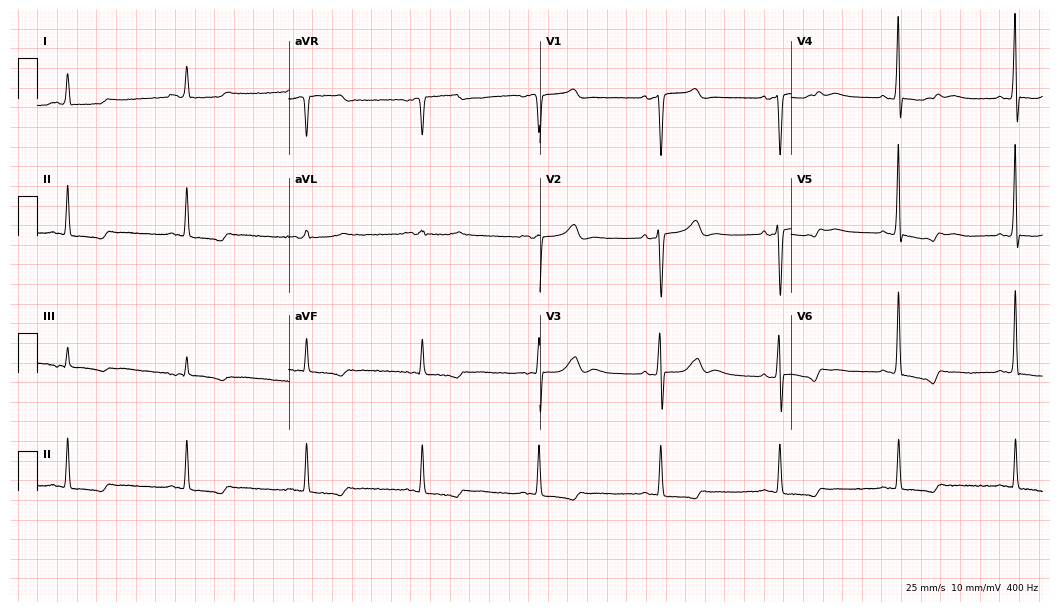
Electrocardiogram (10.2-second recording at 400 Hz), a female patient, 84 years old. Interpretation includes sinus bradycardia (a sinus rate of 50 beats per minute or less).